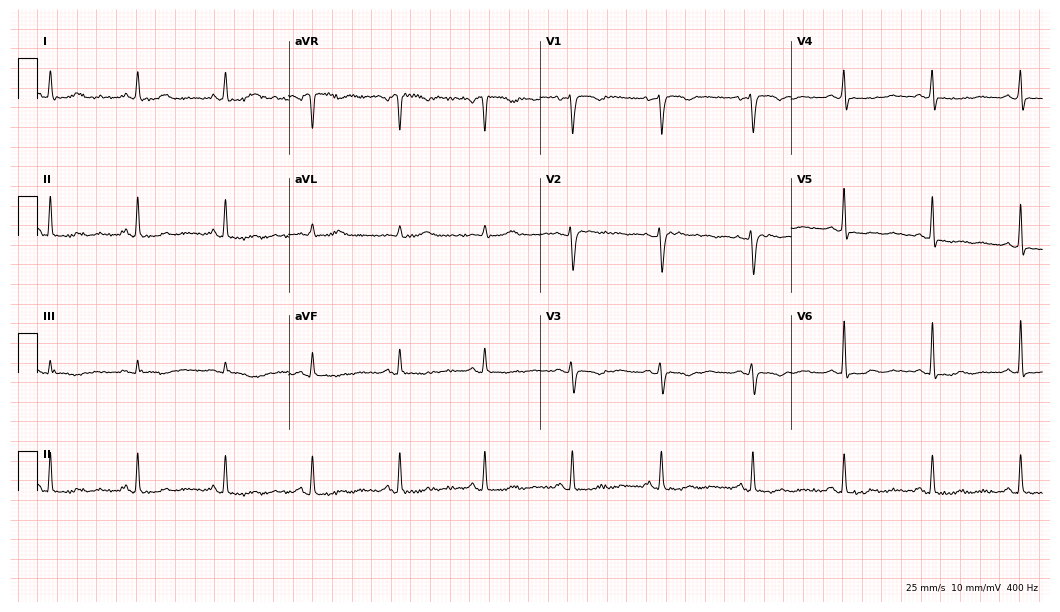
ECG (10.2-second recording at 400 Hz) — a woman, 51 years old. Screened for six findings — first-degree AV block, right bundle branch block, left bundle branch block, sinus bradycardia, atrial fibrillation, sinus tachycardia — none is recorded. Findings outside these six are not listed.